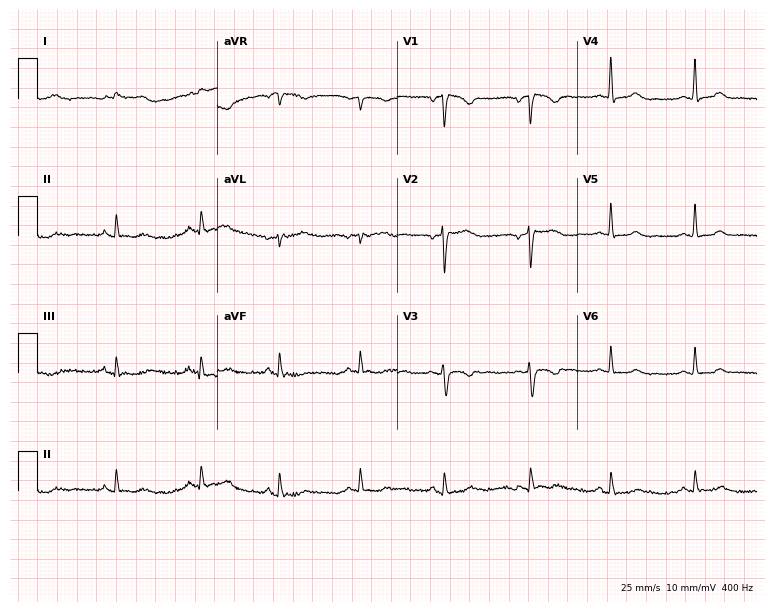
12-lead ECG from a 32-year-old female patient. No first-degree AV block, right bundle branch block, left bundle branch block, sinus bradycardia, atrial fibrillation or sinus tachycardia recorded for this tracing. Findings outside these six are not listed.